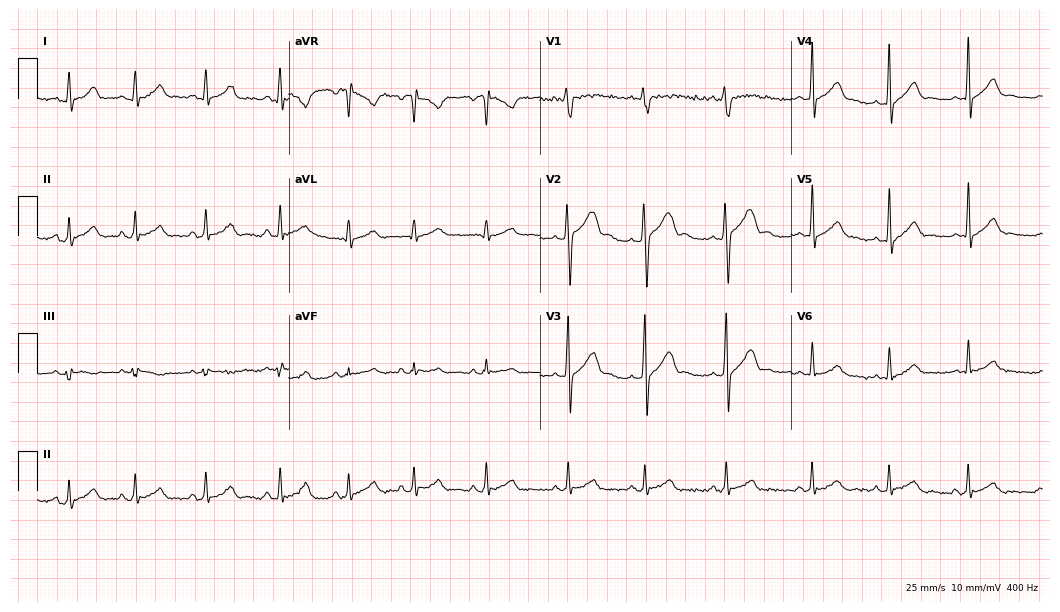
12-lead ECG from a man, 18 years old (10.2-second recording at 400 Hz). Recorded interpretation: within normal limits.